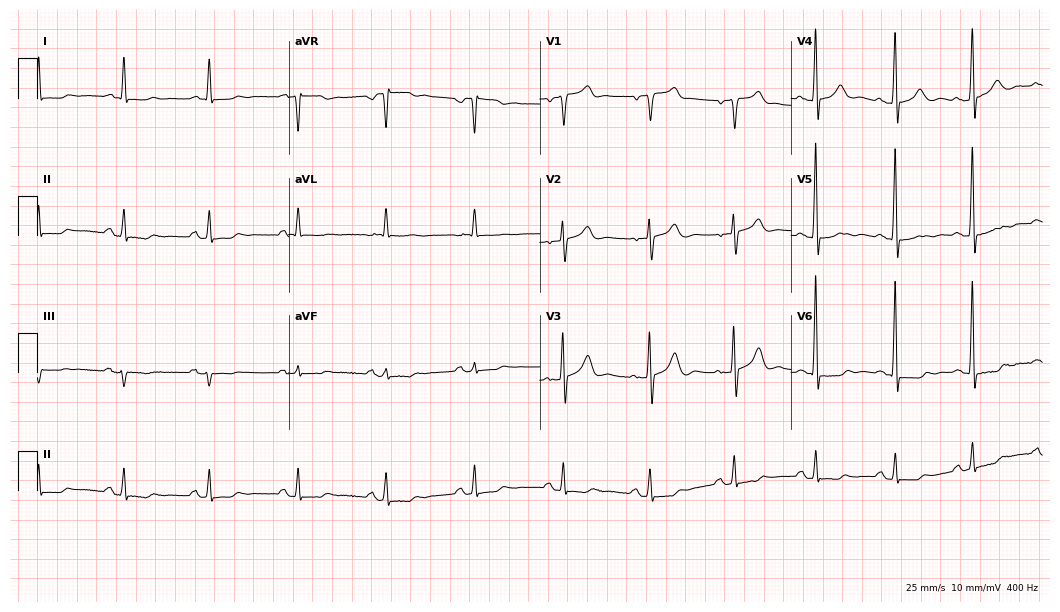
12-lead ECG from an 85-year-old male. Screened for six findings — first-degree AV block, right bundle branch block, left bundle branch block, sinus bradycardia, atrial fibrillation, sinus tachycardia — none is recorded.